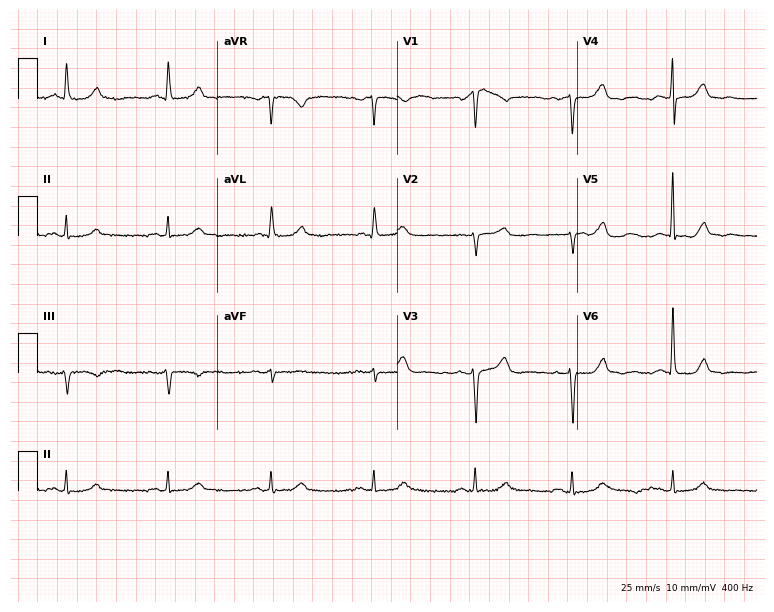
Standard 12-lead ECG recorded from a woman, 72 years old. Read as a normal ECG.